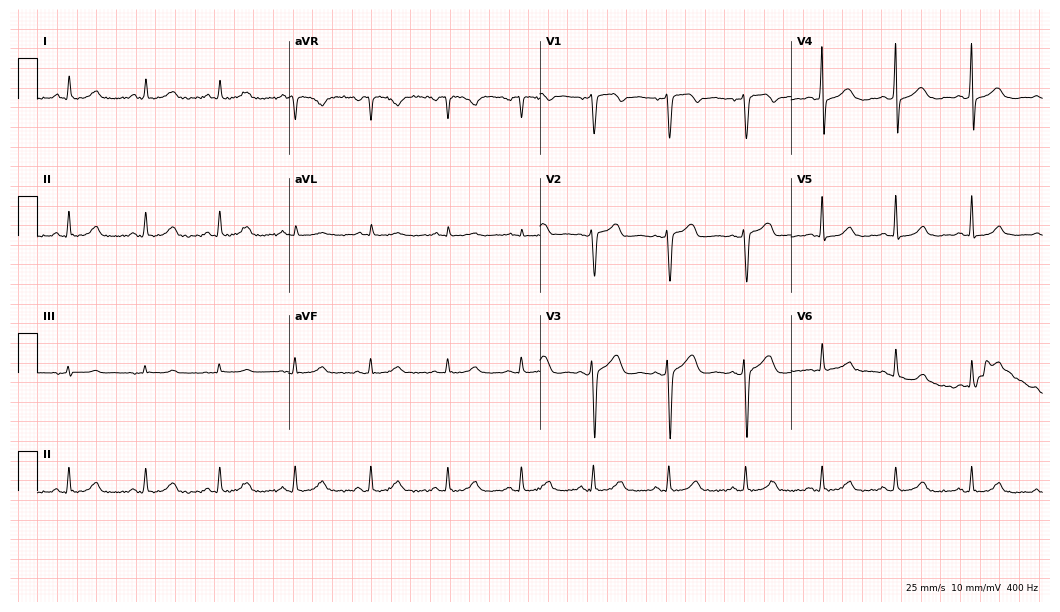
Resting 12-lead electrocardiogram (10.2-second recording at 400 Hz). Patient: a 48-year-old female. Read as a normal ECG.